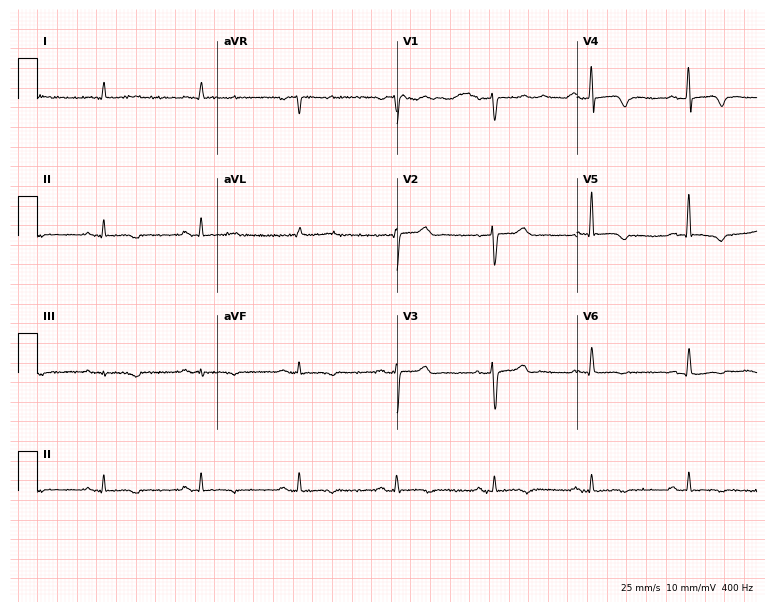
Standard 12-lead ECG recorded from a woman, 53 years old (7.3-second recording at 400 Hz). None of these six findings is recorded: first-degree AV block, right bundle branch block, left bundle branch block, sinus bradycardia, atrial fibrillation, sinus tachycardia. Findings outside these six are not listed.